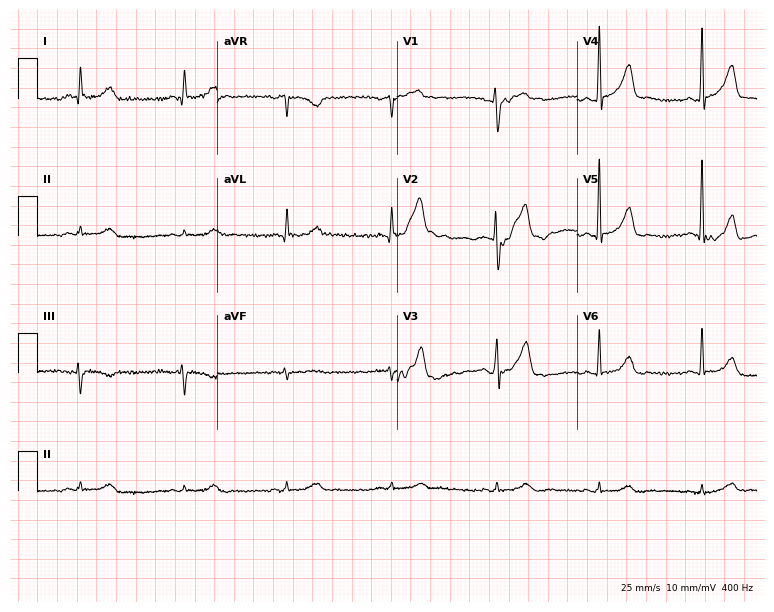
Standard 12-lead ECG recorded from a 60-year-old male patient (7.3-second recording at 400 Hz). Read as a normal ECG.